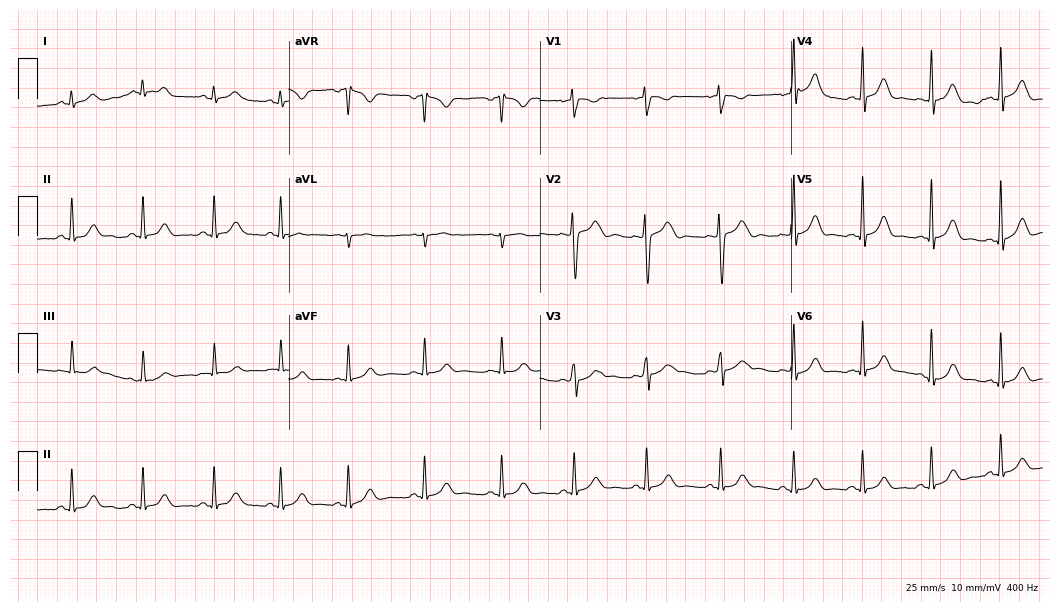
Standard 12-lead ECG recorded from a woman, 18 years old. Read as a normal ECG.